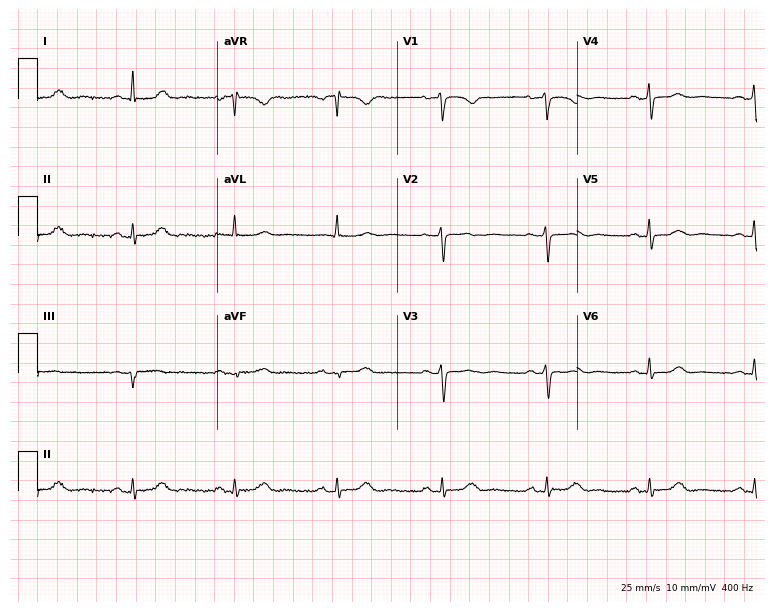
Resting 12-lead electrocardiogram (7.3-second recording at 400 Hz). Patient: a 61-year-old female. None of these six findings is recorded: first-degree AV block, right bundle branch block (RBBB), left bundle branch block (LBBB), sinus bradycardia, atrial fibrillation (AF), sinus tachycardia.